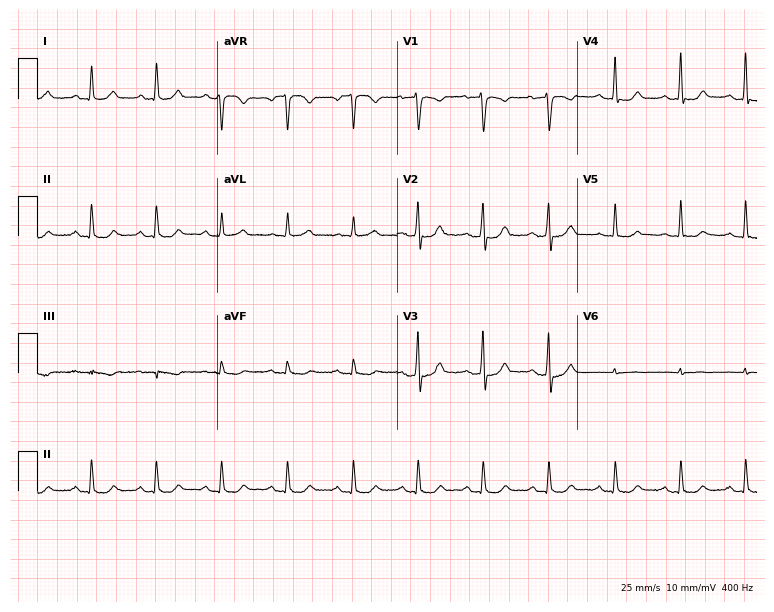
12-lead ECG from a 53-year-old woman (7.3-second recording at 400 Hz). Recorded interpretation: within normal limits.